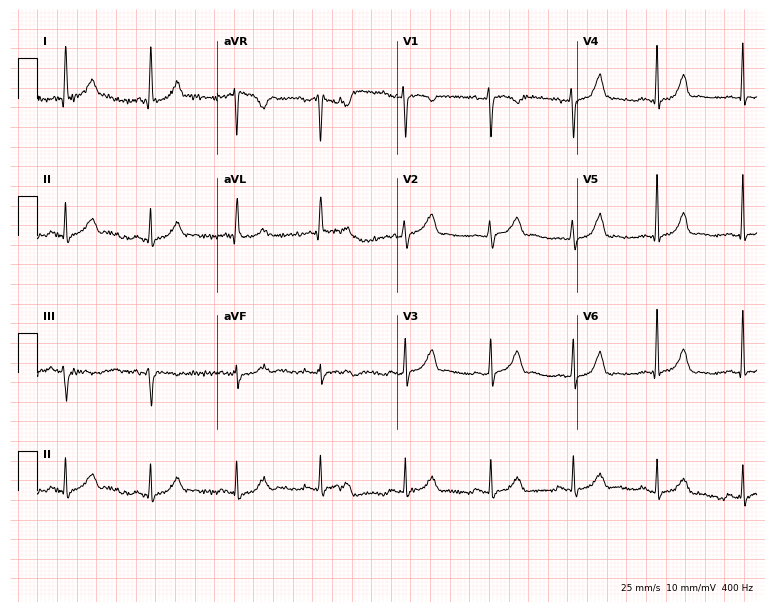
12-lead ECG from a female, 44 years old. Labelled as a normal ECG.